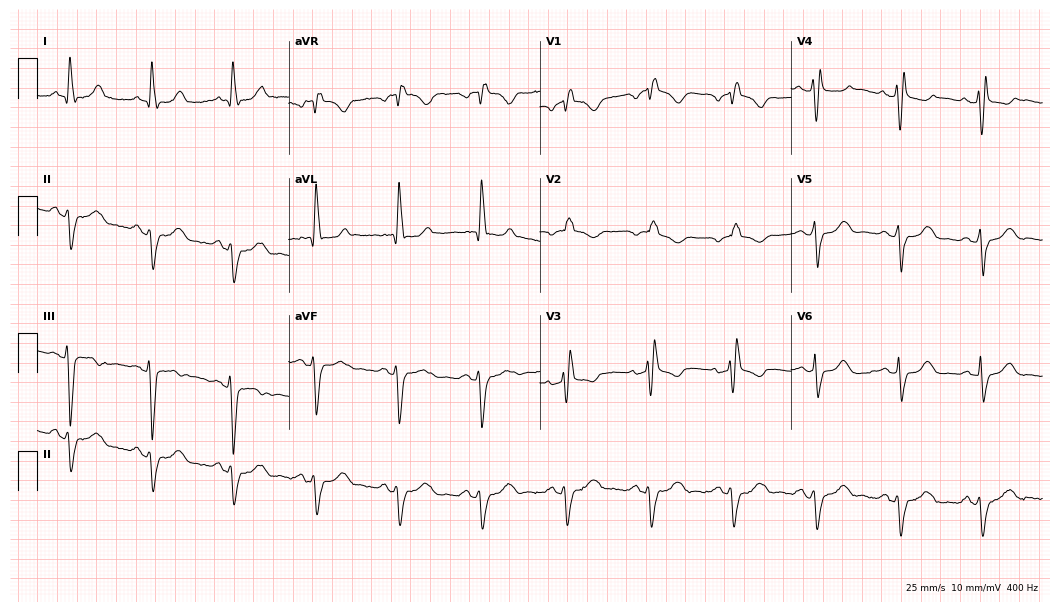
Electrocardiogram (10.2-second recording at 400 Hz), a female patient, 82 years old. Interpretation includes right bundle branch block (RBBB).